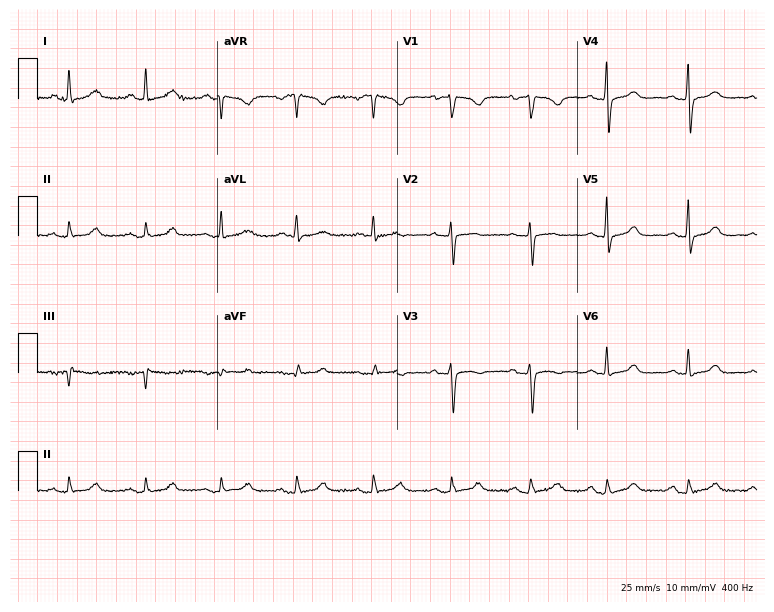
ECG (7.3-second recording at 400 Hz) — a woman, 75 years old. Labelled as a normal ECG.